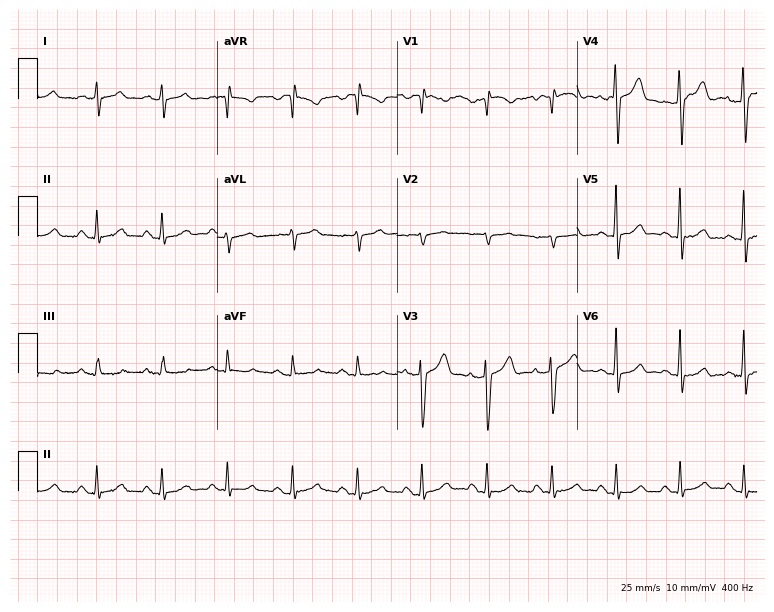
12-lead ECG from a 76-year-old male. Screened for six findings — first-degree AV block, right bundle branch block, left bundle branch block, sinus bradycardia, atrial fibrillation, sinus tachycardia — none is recorded.